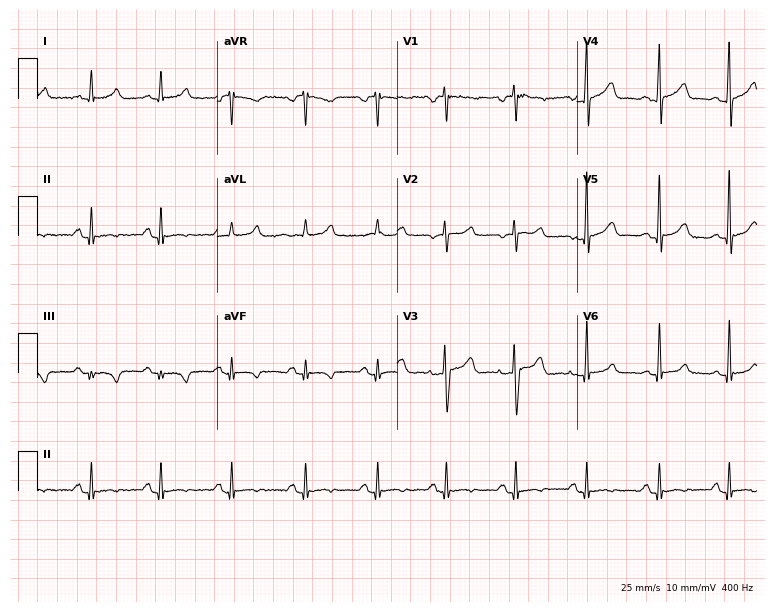
ECG — a female, 39 years old. Screened for six findings — first-degree AV block, right bundle branch block, left bundle branch block, sinus bradycardia, atrial fibrillation, sinus tachycardia — none is recorded. Other findings, if any, are not listed.